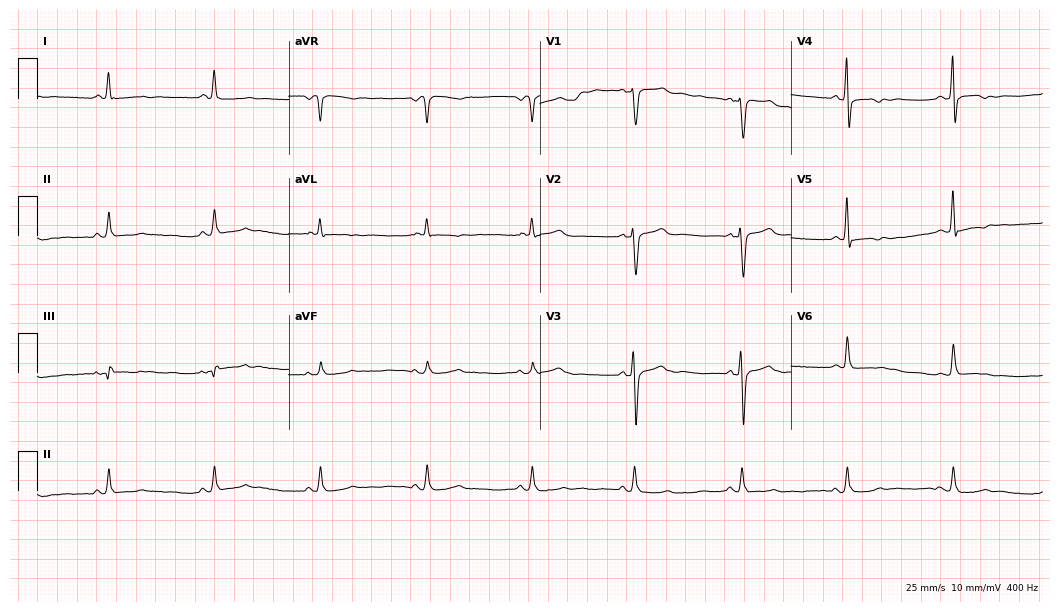
Resting 12-lead electrocardiogram. Patient: a male, 53 years old. None of these six findings is recorded: first-degree AV block, right bundle branch block (RBBB), left bundle branch block (LBBB), sinus bradycardia, atrial fibrillation (AF), sinus tachycardia.